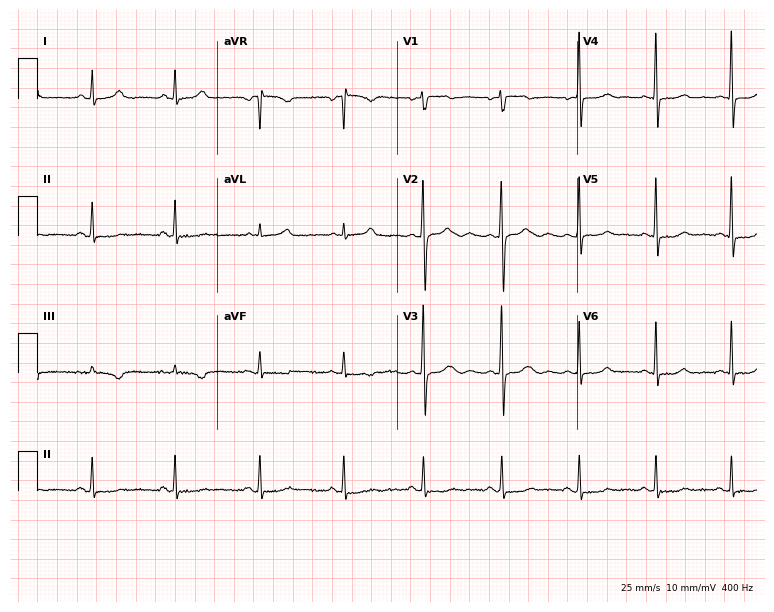
12-lead ECG (7.3-second recording at 400 Hz) from a male patient, 45 years old. Screened for six findings — first-degree AV block, right bundle branch block, left bundle branch block, sinus bradycardia, atrial fibrillation, sinus tachycardia — none is recorded.